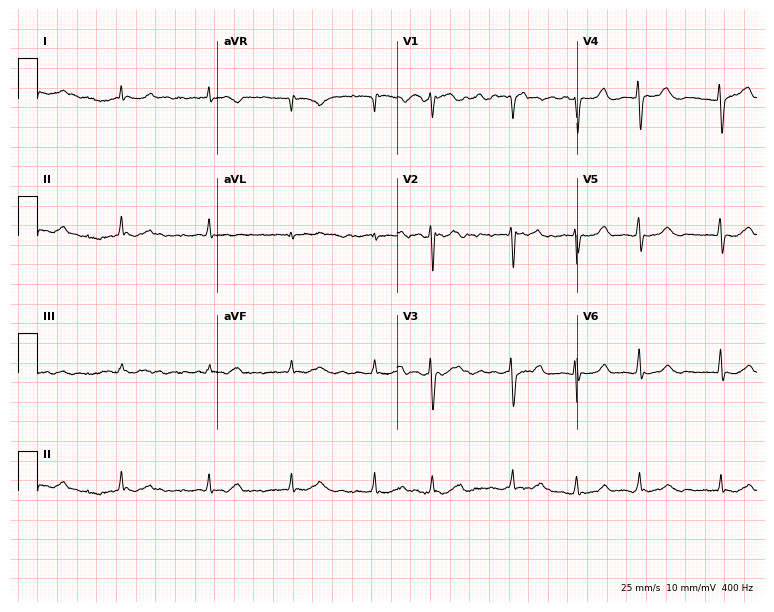
ECG (7.3-second recording at 400 Hz) — a female, 82 years old. Findings include atrial fibrillation.